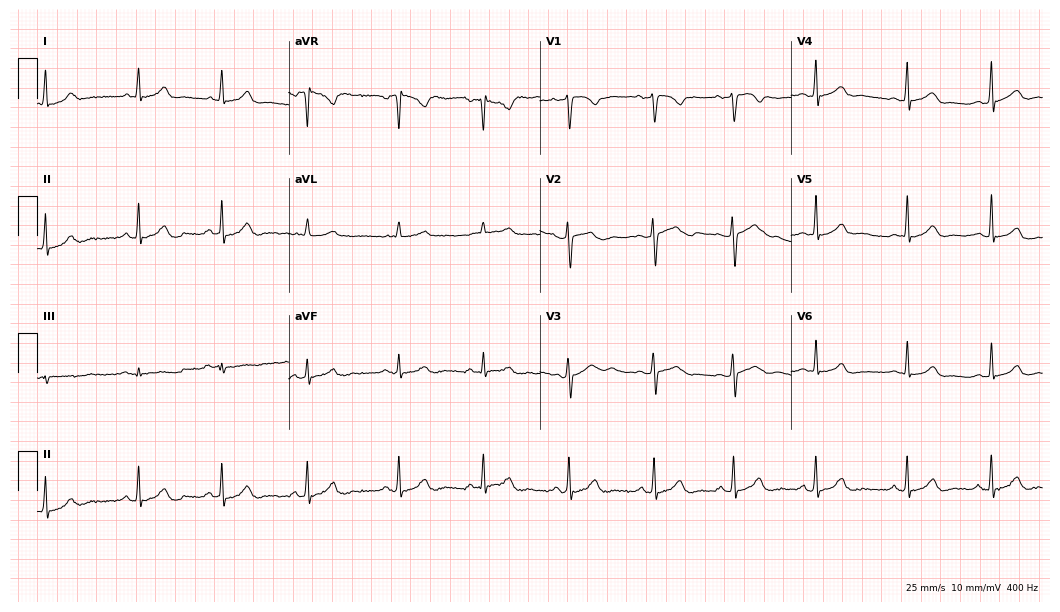
12-lead ECG (10.2-second recording at 400 Hz) from a female patient, 22 years old. Screened for six findings — first-degree AV block, right bundle branch block, left bundle branch block, sinus bradycardia, atrial fibrillation, sinus tachycardia — none is recorded. Only these six findings were labelled.